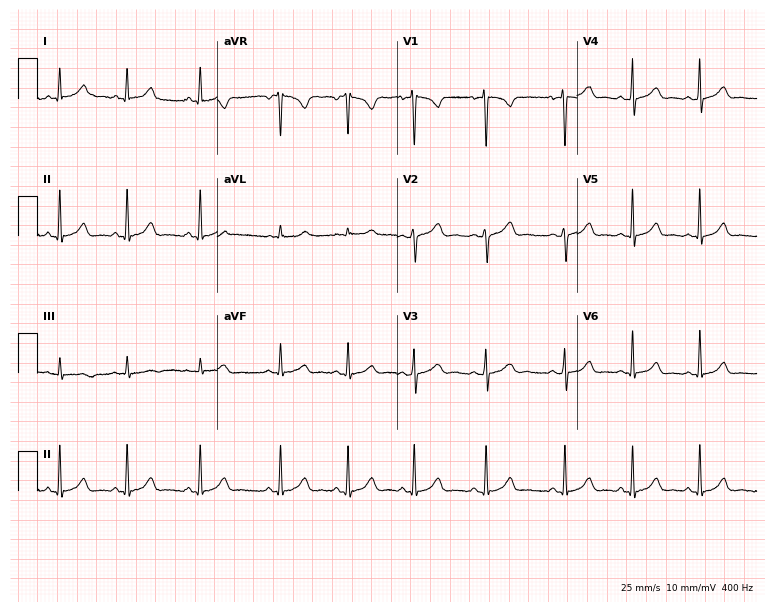
ECG (7.3-second recording at 400 Hz) — a 17-year-old female. Labelled as a normal ECG.